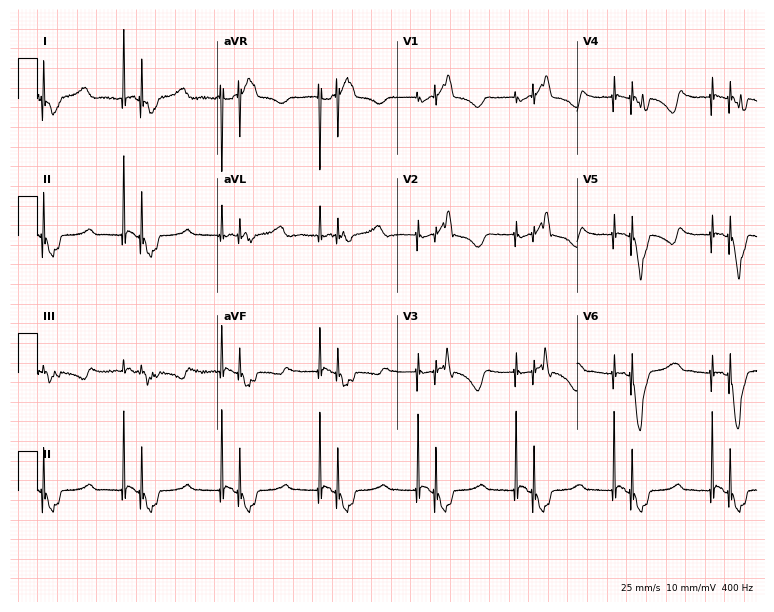
Standard 12-lead ECG recorded from a 55-year-old female patient. None of these six findings is recorded: first-degree AV block, right bundle branch block, left bundle branch block, sinus bradycardia, atrial fibrillation, sinus tachycardia. Other findings, if any, are not listed.